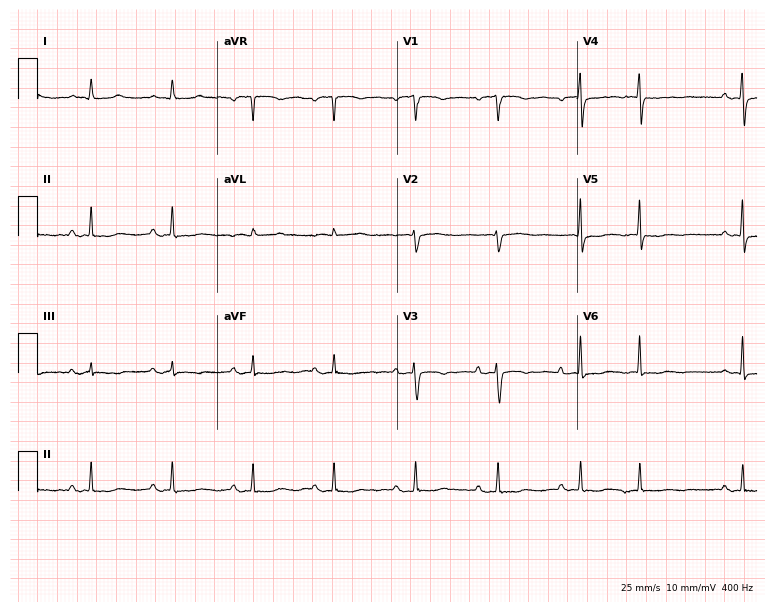
12-lead ECG from an 84-year-old woman. No first-degree AV block, right bundle branch block, left bundle branch block, sinus bradycardia, atrial fibrillation or sinus tachycardia recorded for this tracing. Findings outside these six are not listed.